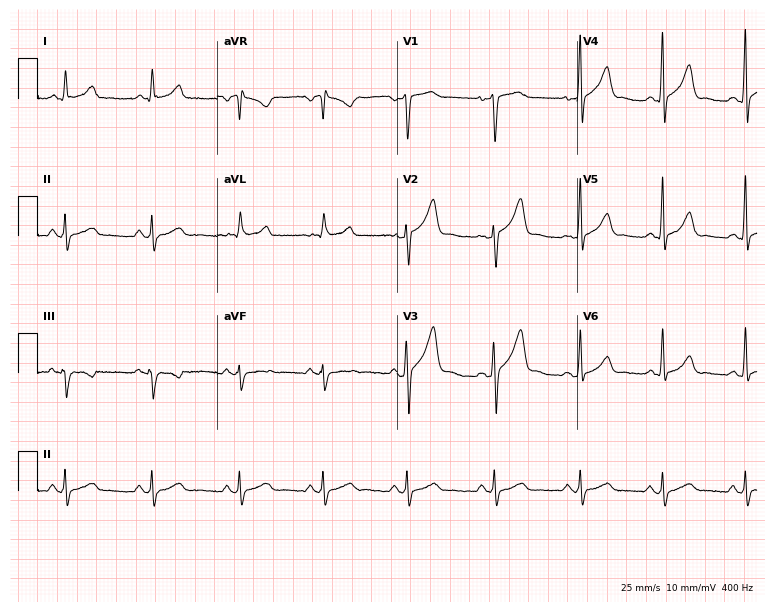
Standard 12-lead ECG recorded from a 46-year-old male. Read as a normal ECG.